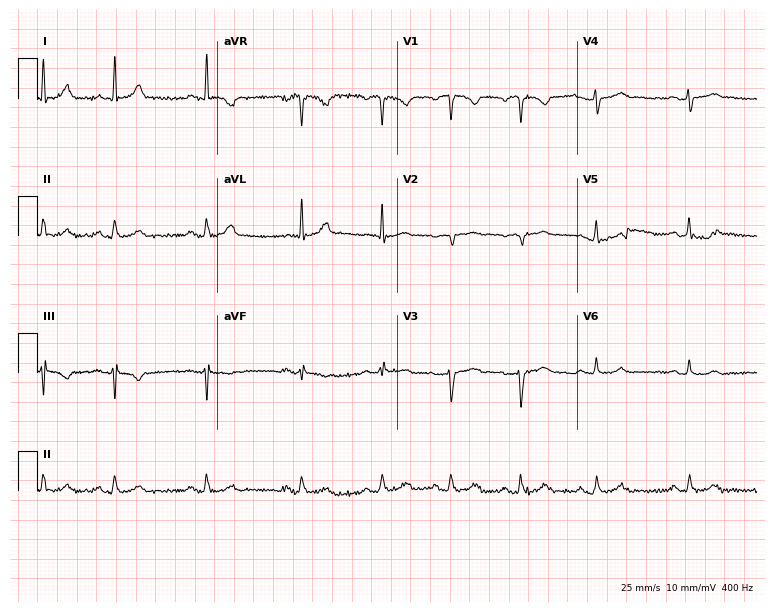
Standard 12-lead ECG recorded from a 39-year-old woman. Read as a normal ECG.